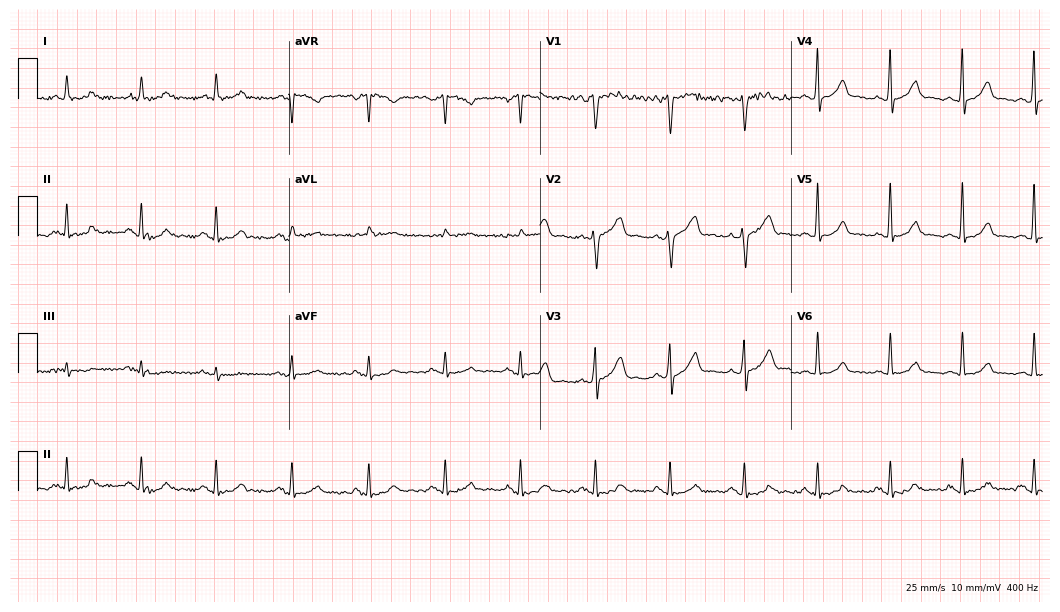
Resting 12-lead electrocardiogram. Patient: a 67-year-old male. Read as a normal ECG.